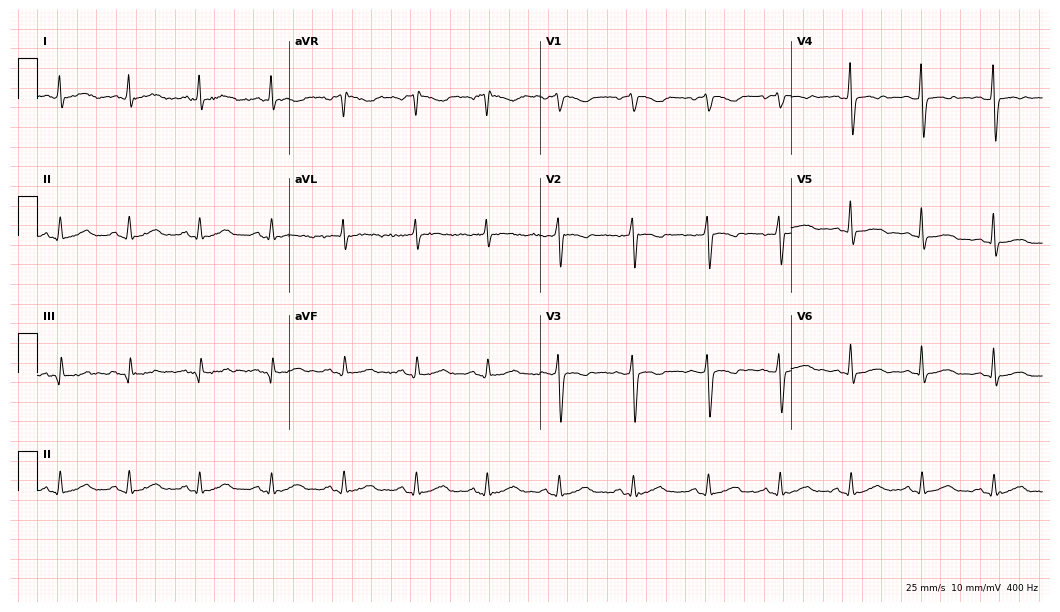
Standard 12-lead ECG recorded from a male, 67 years old (10.2-second recording at 400 Hz). None of these six findings is recorded: first-degree AV block, right bundle branch block, left bundle branch block, sinus bradycardia, atrial fibrillation, sinus tachycardia. Findings outside these six are not listed.